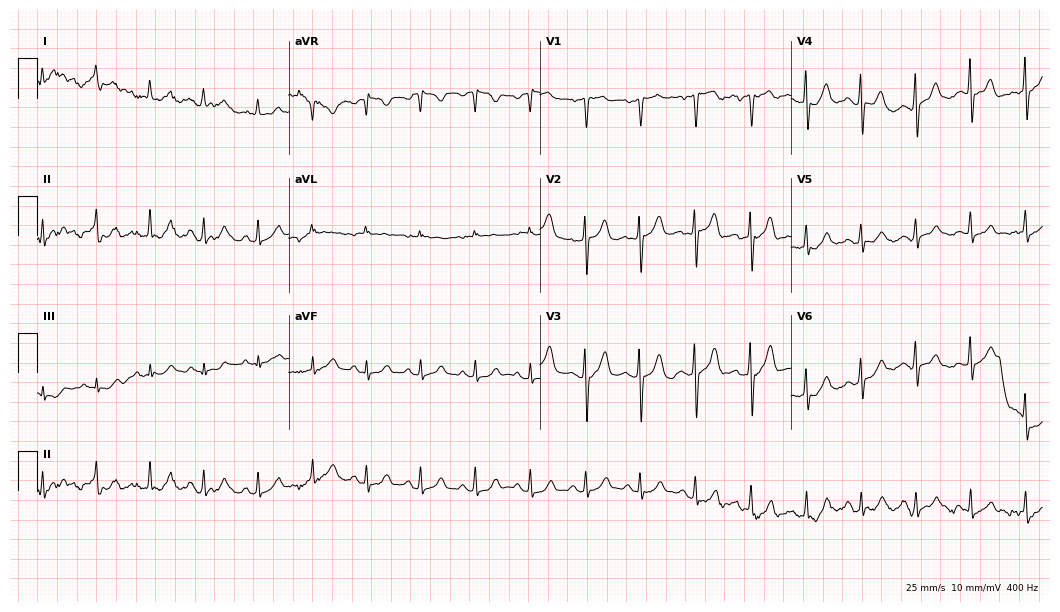
12-lead ECG from a female, 44 years old. Screened for six findings — first-degree AV block, right bundle branch block, left bundle branch block, sinus bradycardia, atrial fibrillation, sinus tachycardia — none is recorded. Findings outside these six are not listed.